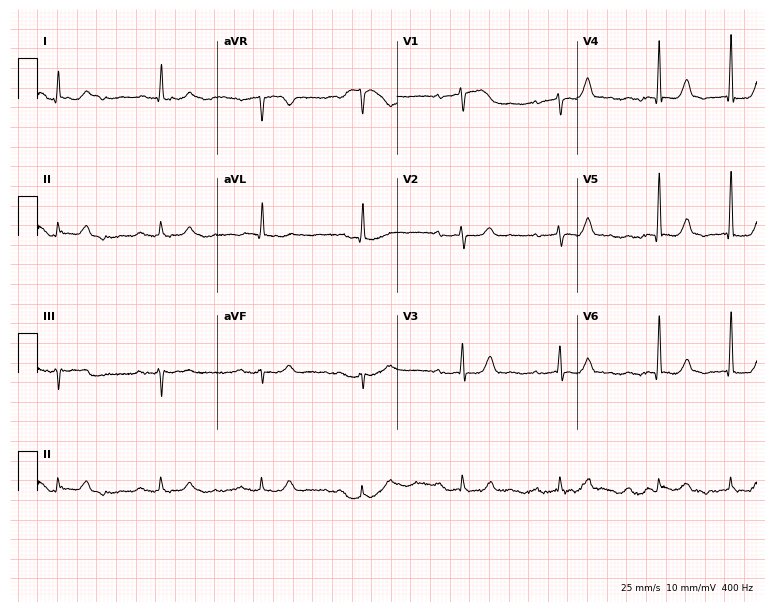
Electrocardiogram (7.3-second recording at 400 Hz), an 82-year-old female patient. Of the six screened findings (first-degree AV block, right bundle branch block (RBBB), left bundle branch block (LBBB), sinus bradycardia, atrial fibrillation (AF), sinus tachycardia), none is recorded. Only these six findings were labelled.